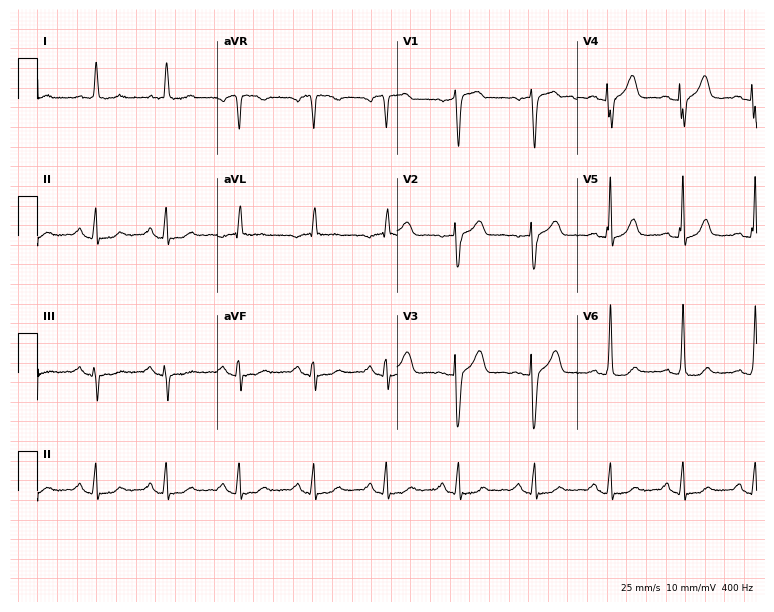
12-lead ECG from a female patient, 58 years old. Labelled as a normal ECG.